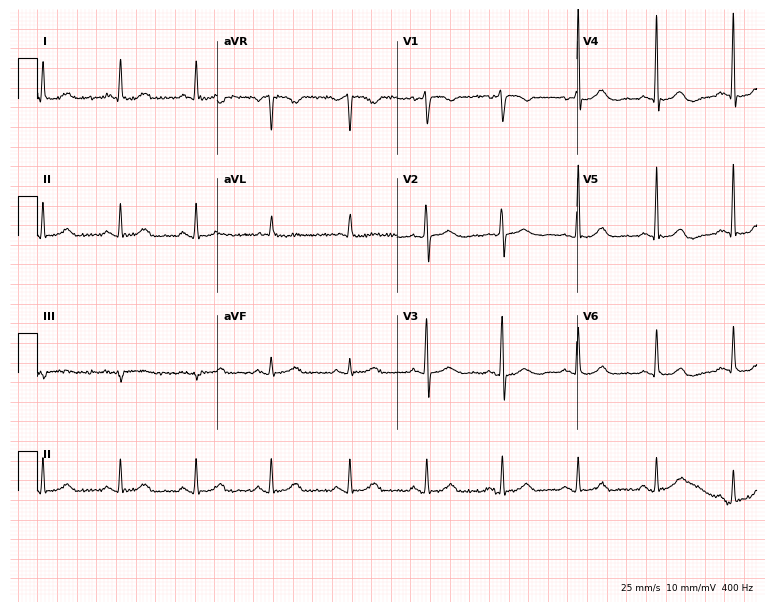
Resting 12-lead electrocardiogram. Patient: a female, 67 years old. Read as a normal ECG.